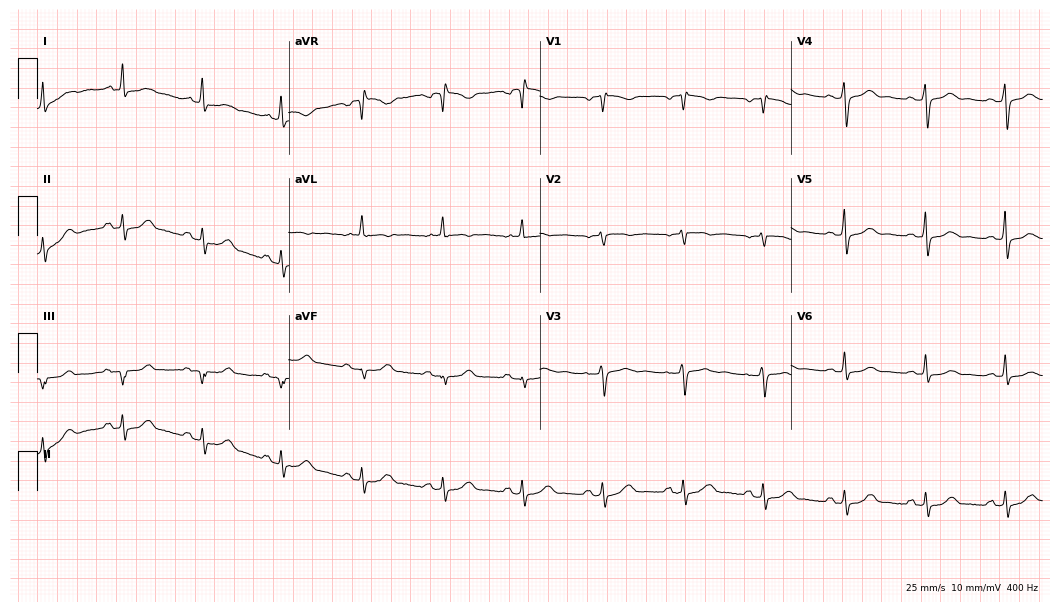
ECG — a 68-year-old female patient. Screened for six findings — first-degree AV block, right bundle branch block, left bundle branch block, sinus bradycardia, atrial fibrillation, sinus tachycardia — none is recorded. Only these six findings were labelled.